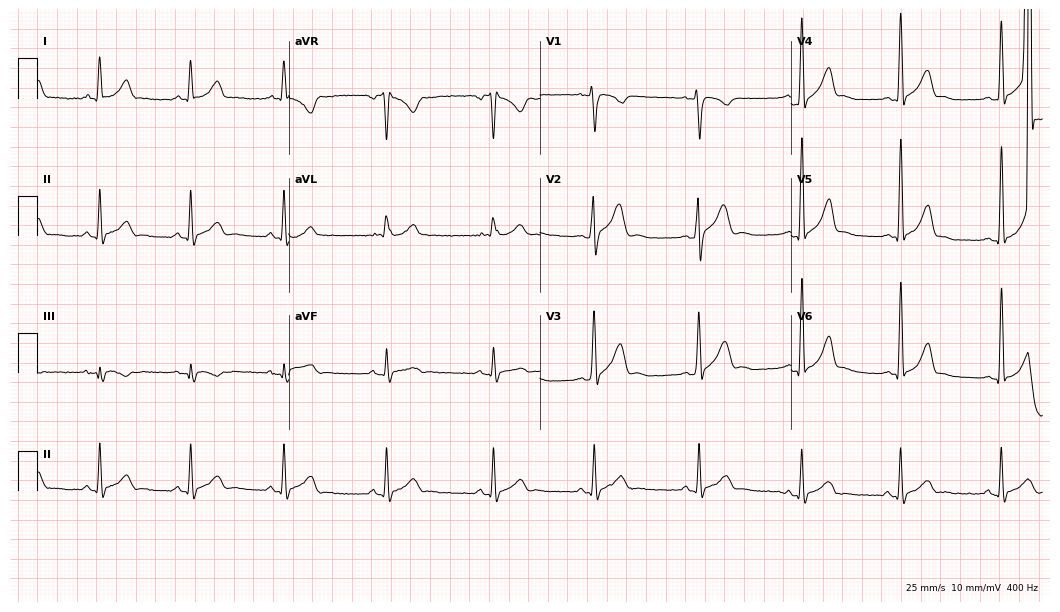
Electrocardiogram (10.2-second recording at 400 Hz), a male, 32 years old. Overall reading on record: normal ECG.